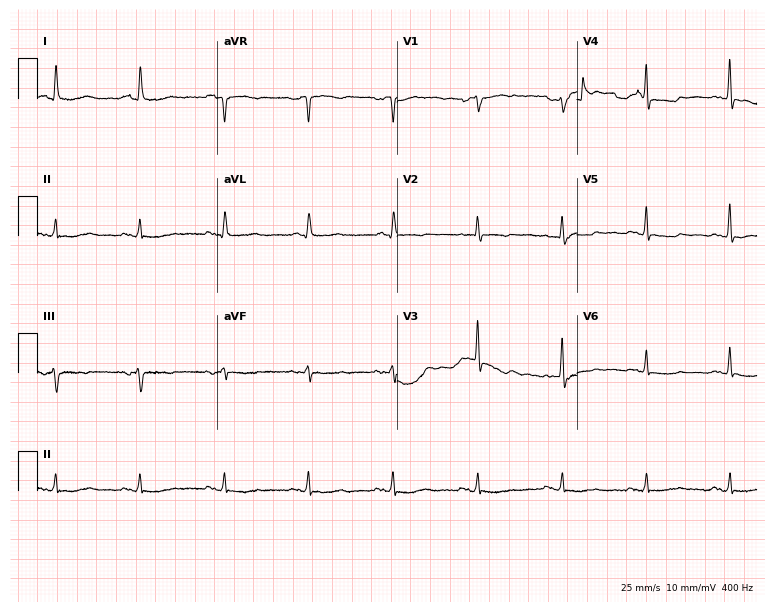
12-lead ECG from a female, 74 years old. Screened for six findings — first-degree AV block, right bundle branch block, left bundle branch block, sinus bradycardia, atrial fibrillation, sinus tachycardia — none is recorded. Other findings, if any, are not listed.